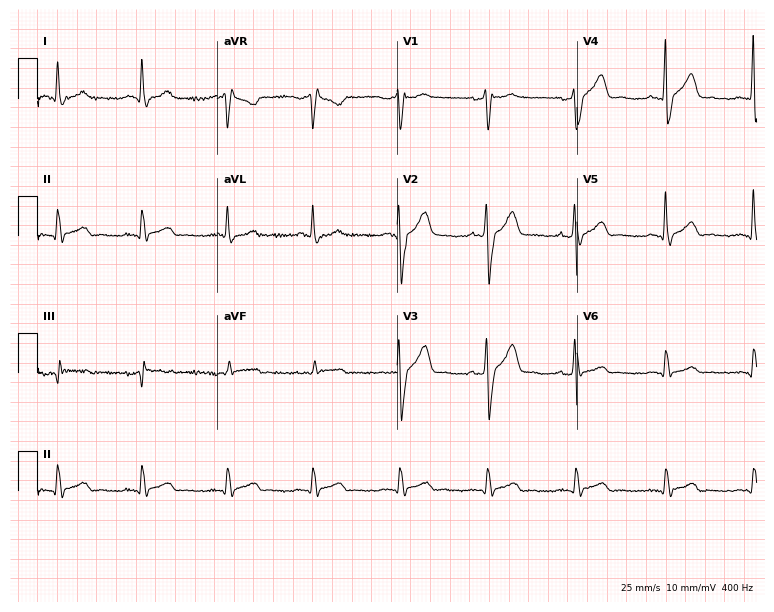
Standard 12-lead ECG recorded from a 58-year-old male patient. None of these six findings is recorded: first-degree AV block, right bundle branch block, left bundle branch block, sinus bradycardia, atrial fibrillation, sinus tachycardia.